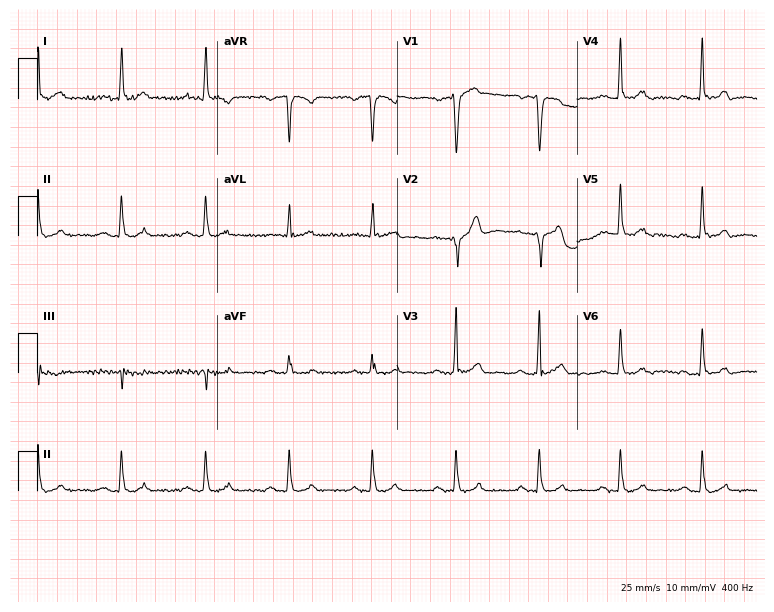
Resting 12-lead electrocardiogram (7.3-second recording at 400 Hz). Patient: a 59-year-old male. None of these six findings is recorded: first-degree AV block, right bundle branch block (RBBB), left bundle branch block (LBBB), sinus bradycardia, atrial fibrillation (AF), sinus tachycardia.